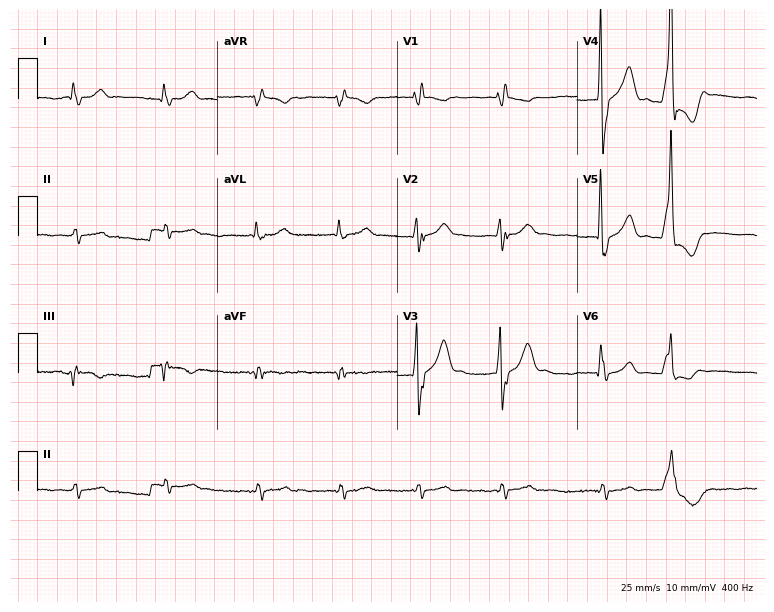
ECG — a male, 82 years old. Screened for six findings — first-degree AV block, right bundle branch block, left bundle branch block, sinus bradycardia, atrial fibrillation, sinus tachycardia — none is recorded.